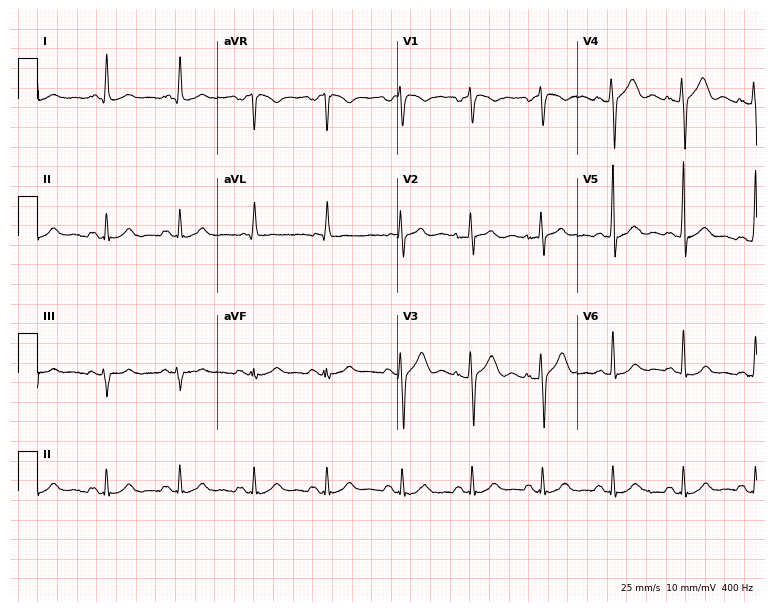
12-lead ECG (7.3-second recording at 400 Hz) from a man, 48 years old. Labelled as a normal ECG.